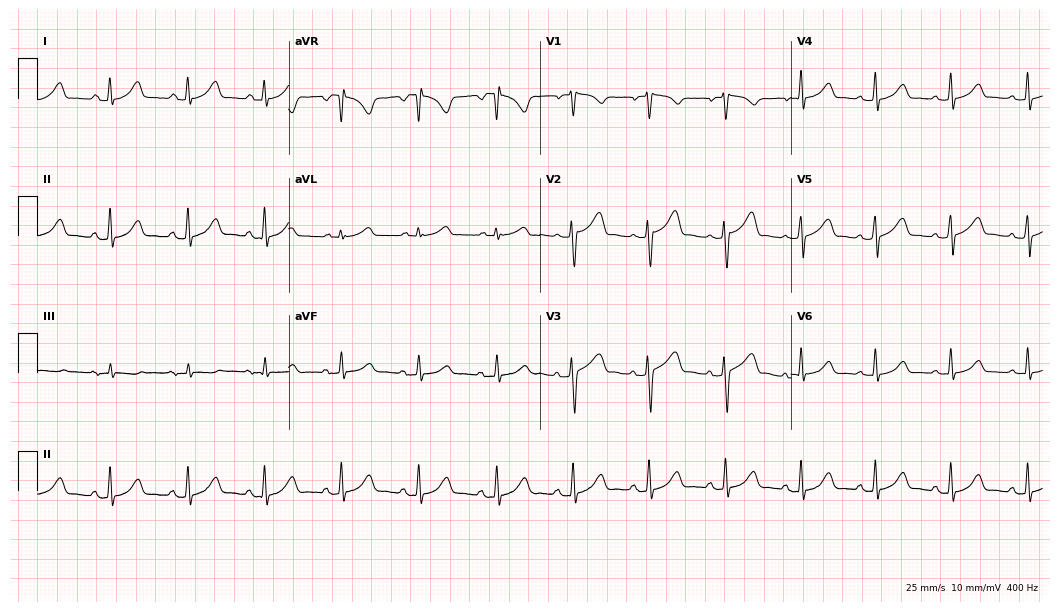
12-lead ECG from a 53-year-old woman. Labelled as a normal ECG.